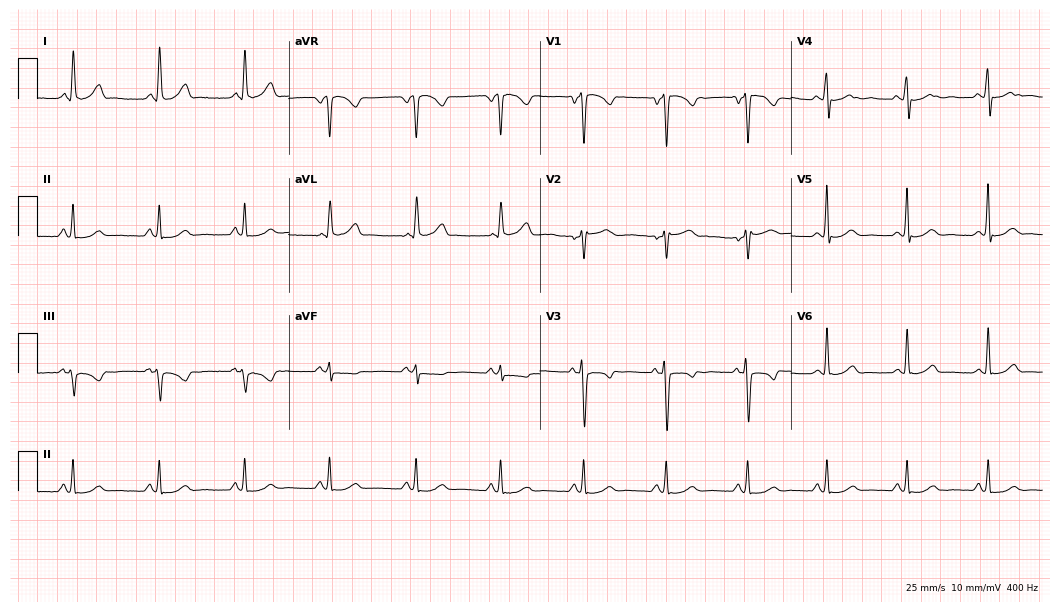
Standard 12-lead ECG recorded from a man, 49 years old (10.2-second recording at 400 Hz). Read as a normal ECG.